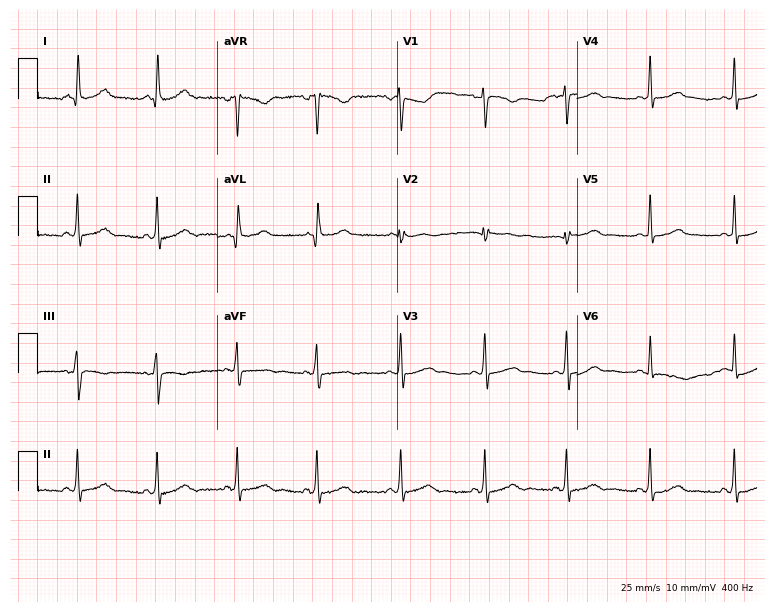
Electrocardiogram, a female patient, 39 years old. Overall reading on record: normal ECG.